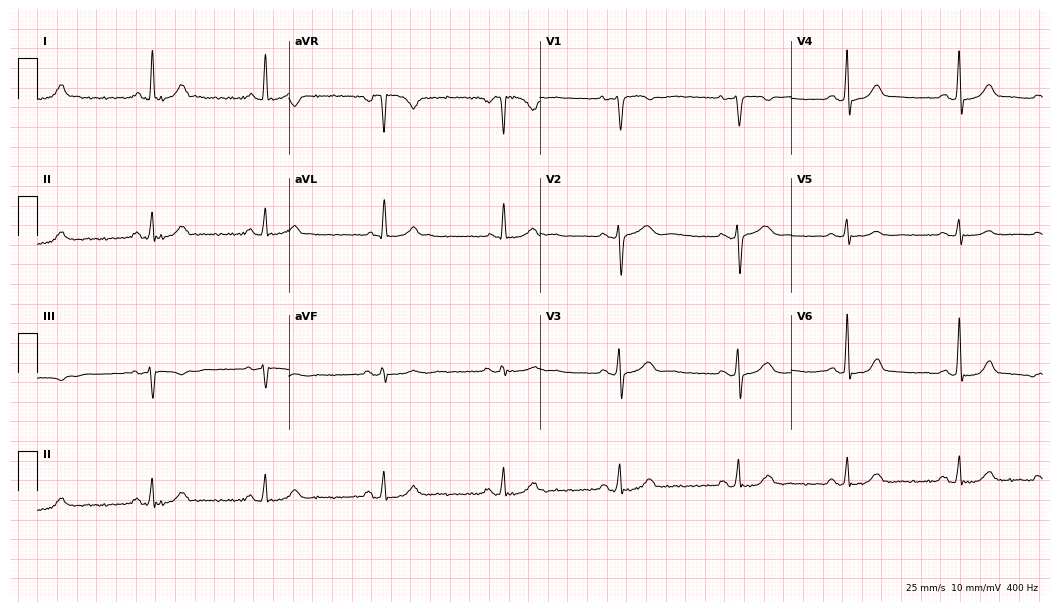
12-lead ECG from a female, 47 years old (10.2-second recording at 400 Hz). Shows sinus bradycardia (a sinus rate of 50 beats per minute or less).